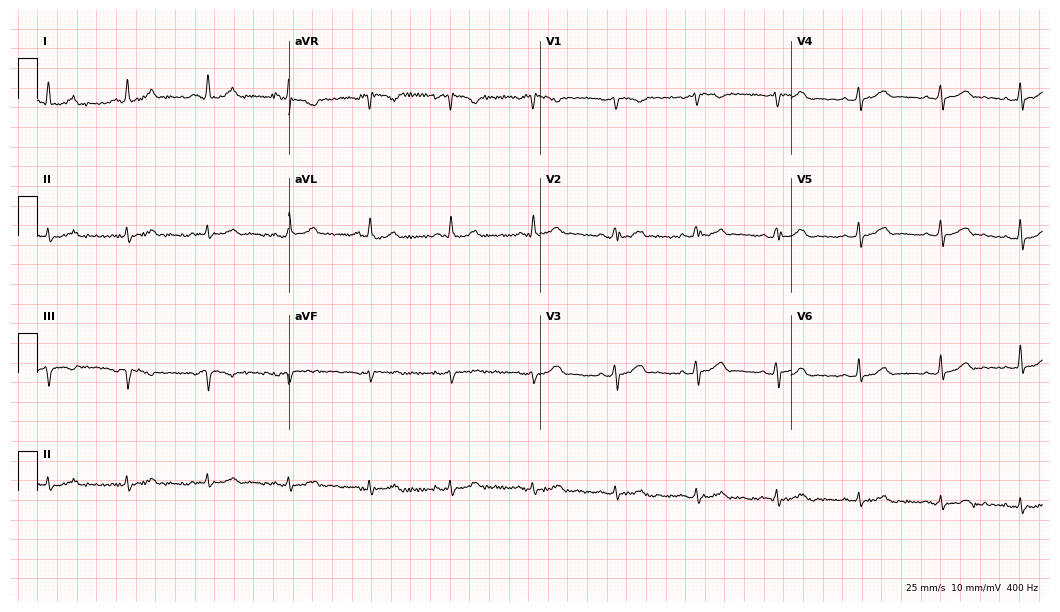
12-lead ECG from a female patient, 36 years old (10.2-second recording at 400 Hz). Recorded interpretation: within normal limits.